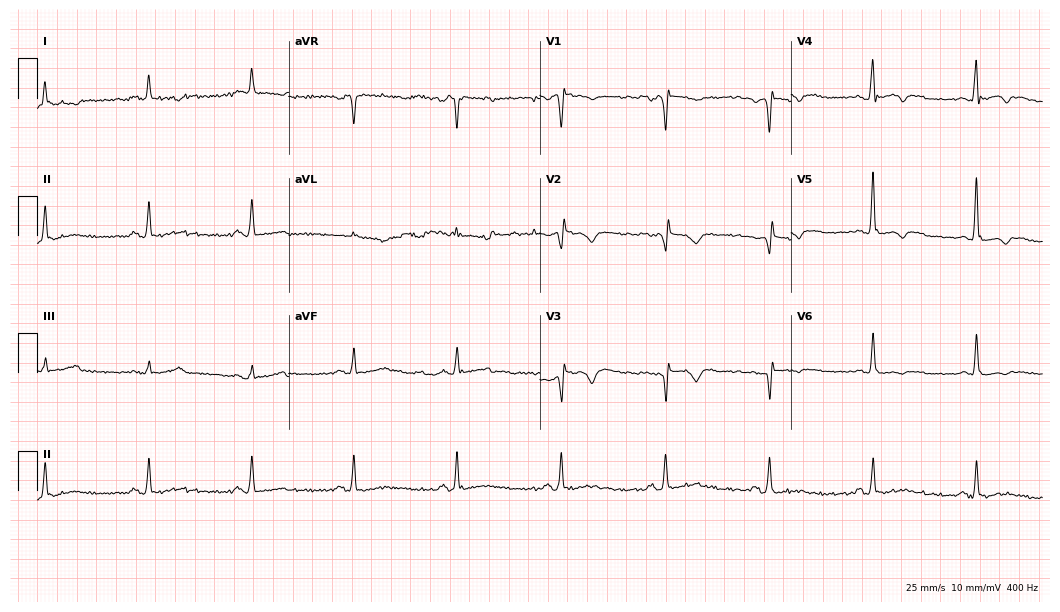
Resting 12-lead electrocardiogram. Patient: a male, 49 years old. None of these six findings is recorded: first-degree AV block, right bundle branch block, left bundle branch block, sinus bradycardia, atrial fibrillation, sinus tachycardia.